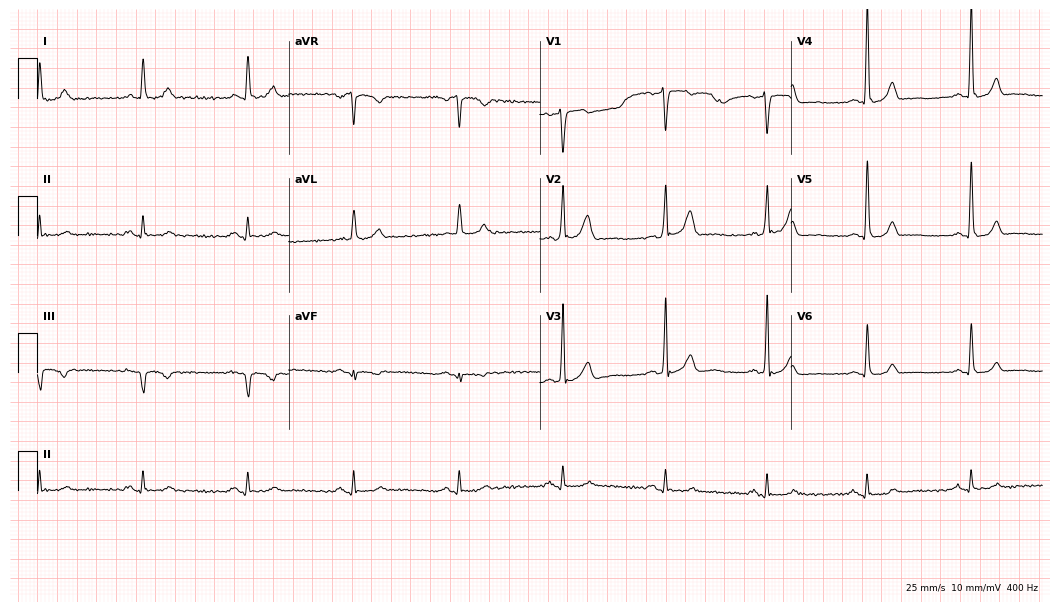
Standard 12-lead ECG recorded from a 58-year-old male (10.2-second recording at 400 Hz). Read as a normal ECG.